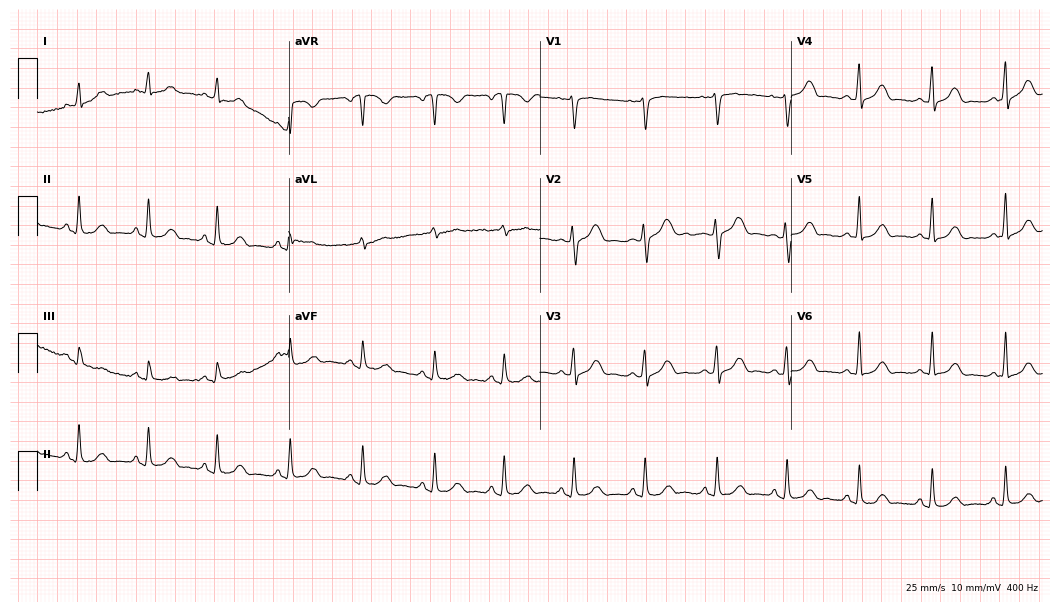
Standard 12-lead ECG recorded from a female patient, 38 years old. Read as a normal ECG.